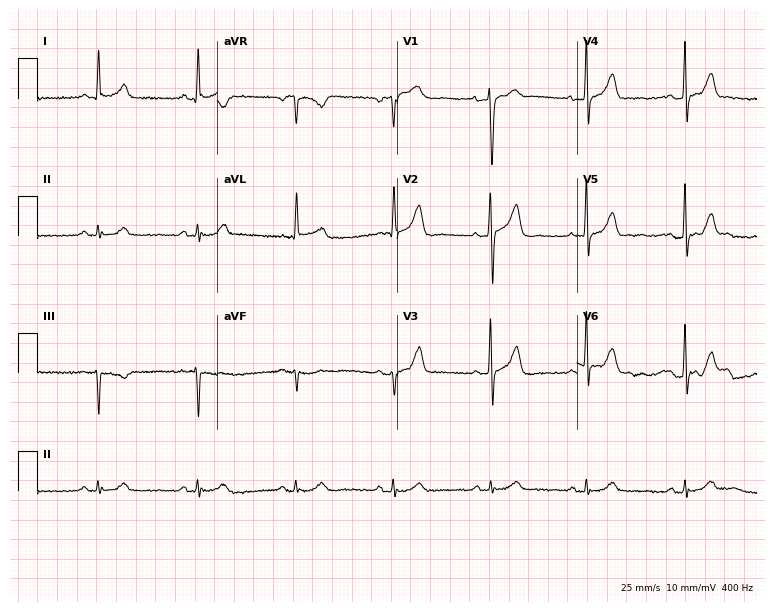
12-lead ECG from a 61-year-old man. Screened for six findings — first-degree AV block, right bundle branch block, left bundle branch block, sinus bradycardia, atrial fibrillation, sinus tachycardia — none is recorded.